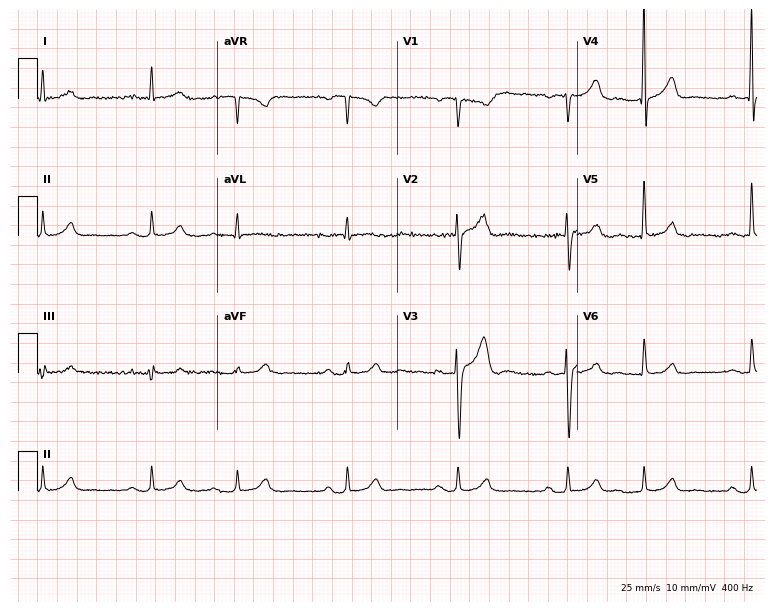
Resting 12-lead electrocardiogram. Patient: a 73-year-old male. Read as a normal ECG.